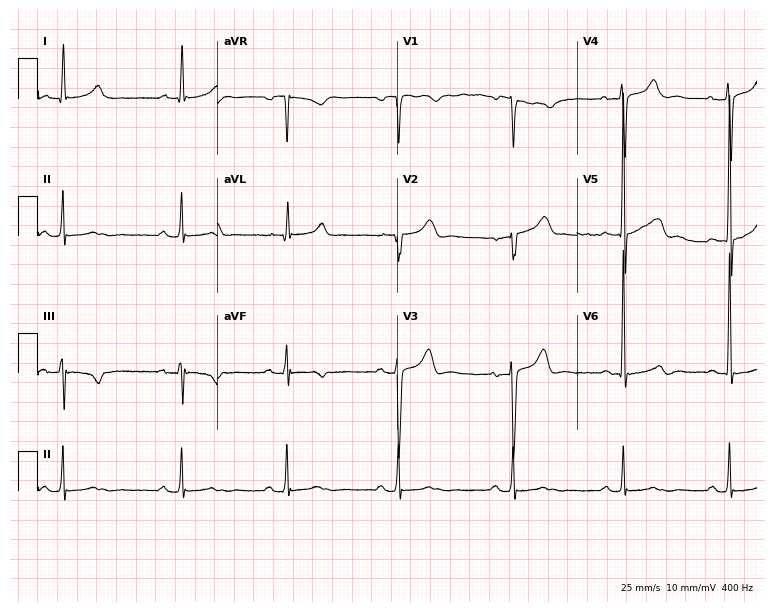
ECG — a woman, 59 years old. Labelled as a normal ECG.